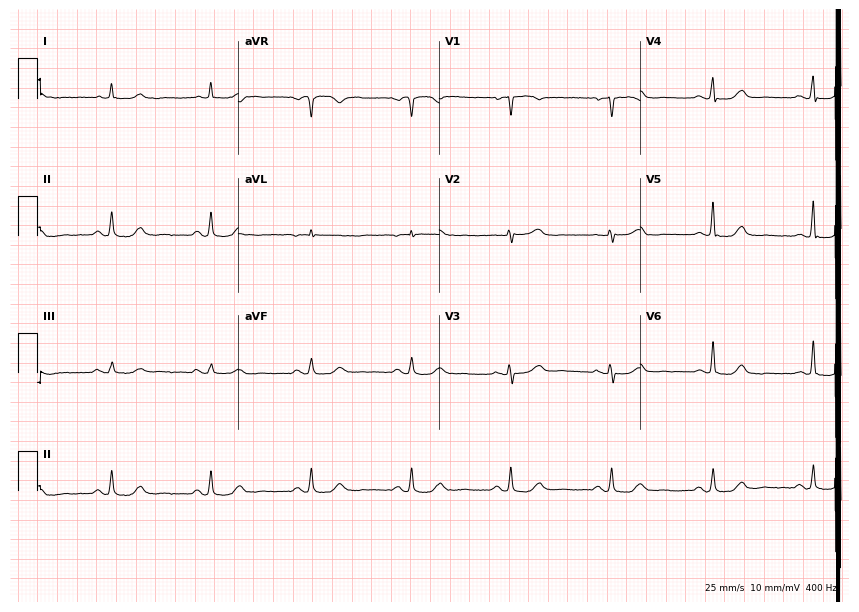
Resting 12-lead electrocardiogram (8.2-second recording at 400 Hz). Patient: an 82-year-old woman. None of these six findings is recorded: first-degree AV block, right bundle branch block, left bundle branch block, sinus bradycardia, atrial fibrillation, sinus tachycardia. Findings outside these six are not listed.